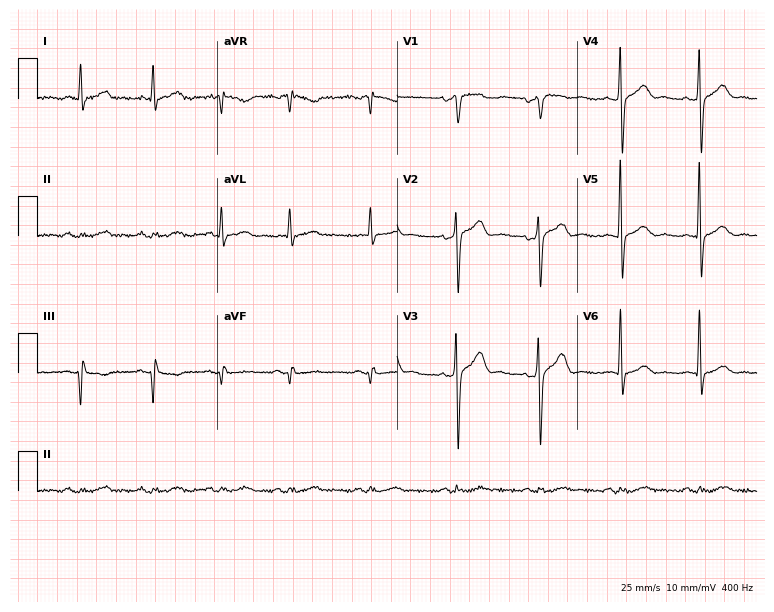
12-lead ECG (7.3-second recording at 400 Hz) from a man, 58 years old. Screened for six findings — first-degree AV block, right bundle branch block, left bundle branch block, sinus bradycardia, atrial fibrillation, sinus tachycardia — none is recorded. Only these six findings were labelled.